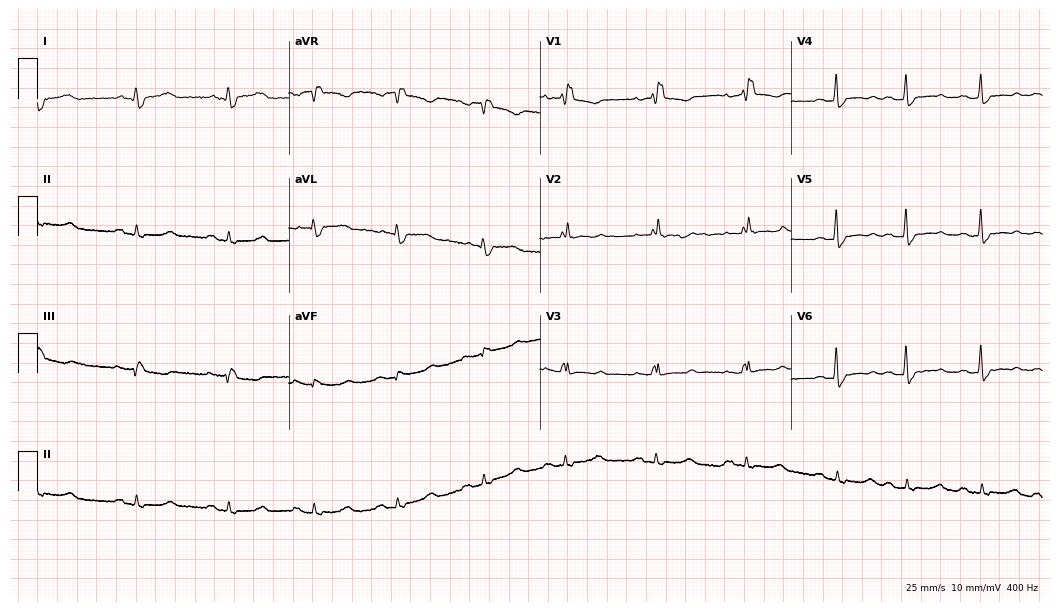
Standard 12-lead ECG recorded from a 71-year-old woman. The tracing shows right bundle branch block.